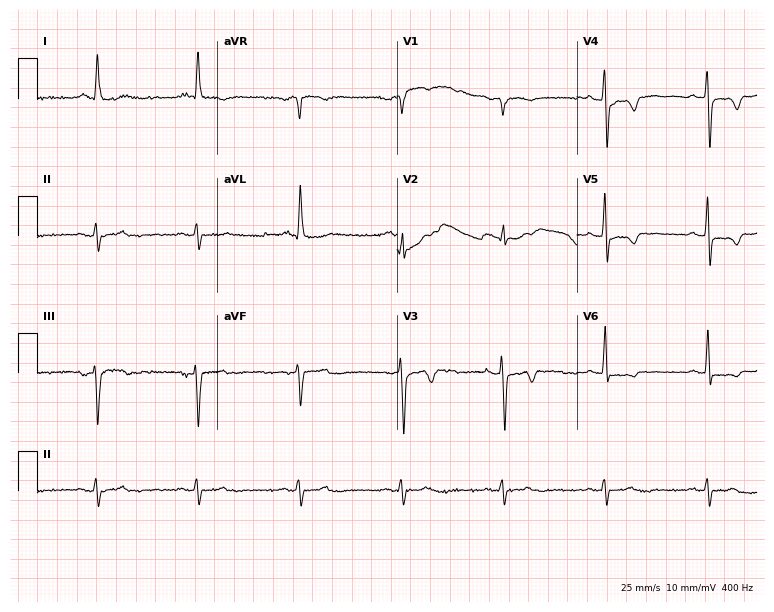
Electrocardiogram, a 76-year-old male patient. Of the six screened findings (first-degree AV block, right bundle branch block, left bundle branch block, sinus bradycardia, atrial fibrillation, sinus tachycardia), none is recorded. Only these six findings were labelled.